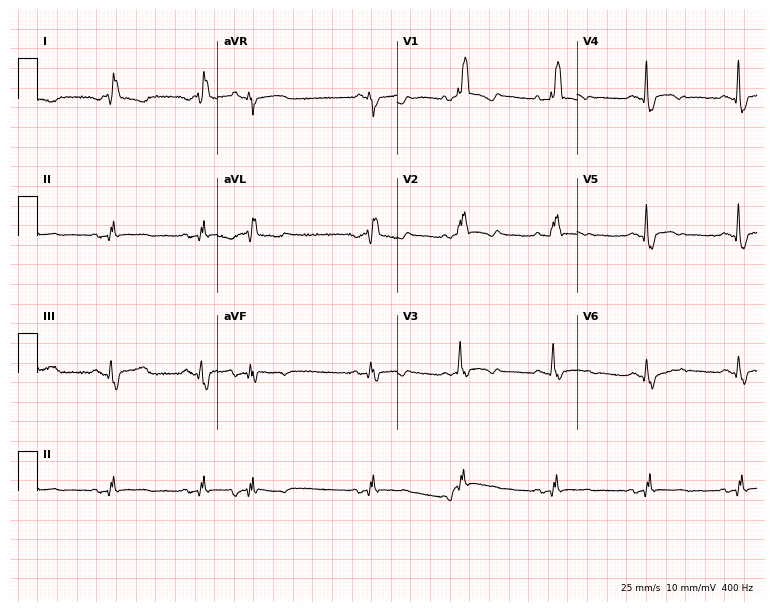
ECG — a female, 57 years old. Screened for six findings — first-degree AV block, right bundle branch block (RBBB), left bundle branch block (LBBB), sinus bradycardia, atrial fibrillation (AF), sinus tachycardia — none is recorded. Findings outside these six are not listed.